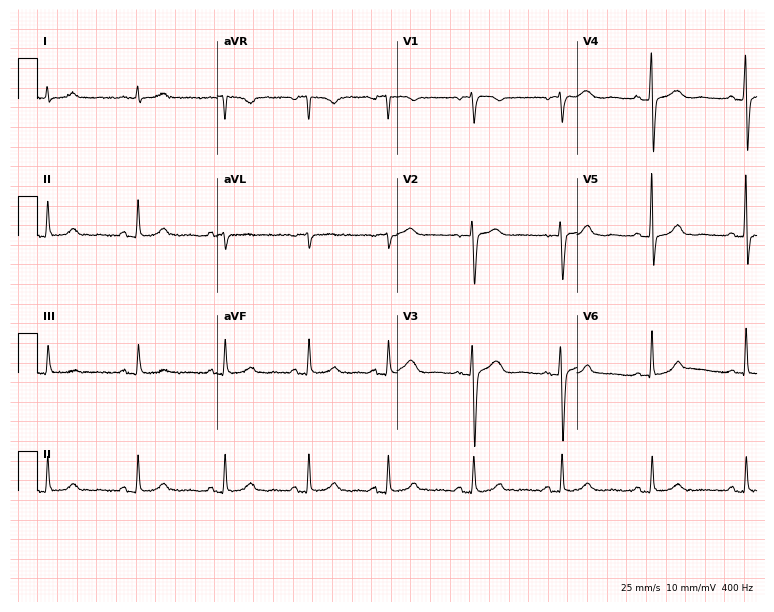
12-lead ECG from a female patient, 69 years old. Recorded interpretation: within normal limits.